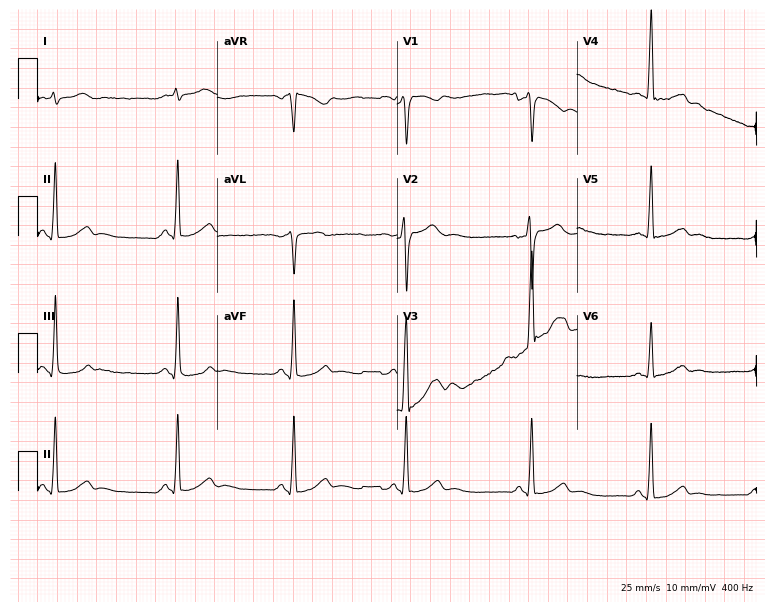
Resting 12-lead electrocardiogram. Patient: a 27-year-old male. None of these six findings is recorded: first-degree AV block, right bundle branch block, left bundle branch block, sinus bradycardia, atrial fibrillation, sinus tachycardia. Findings outside these six are not listed.